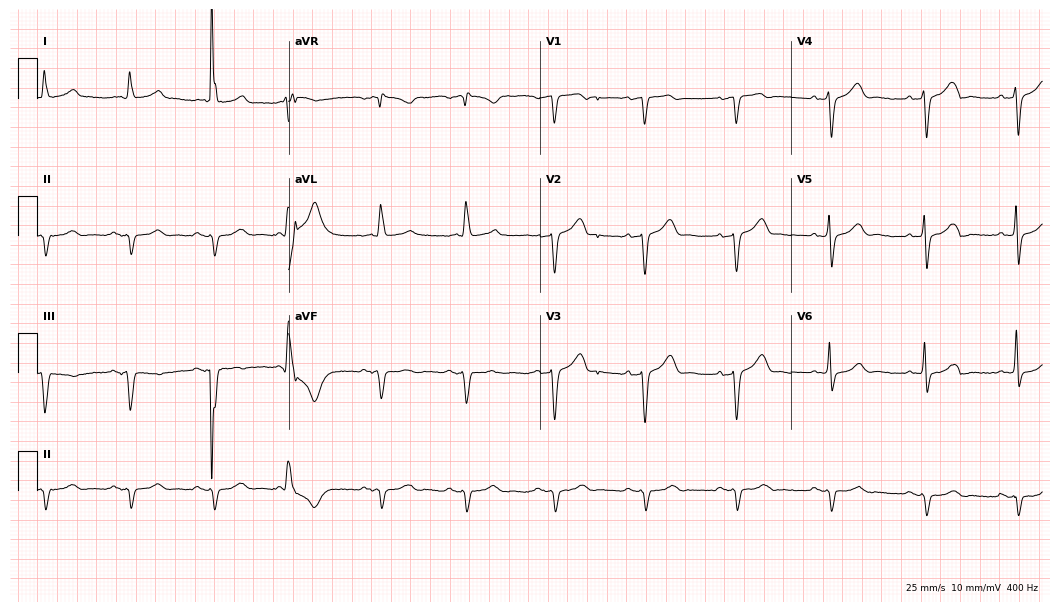
12-lead ECG from a 78-year-old man. Screened for six findings — first-degree AV block, right bundle branch block, left bundle branch block, sinus bradycardia, atrial fibrillation, sinus tachycardia — none is recorded. Other findings, if any, are not listed.